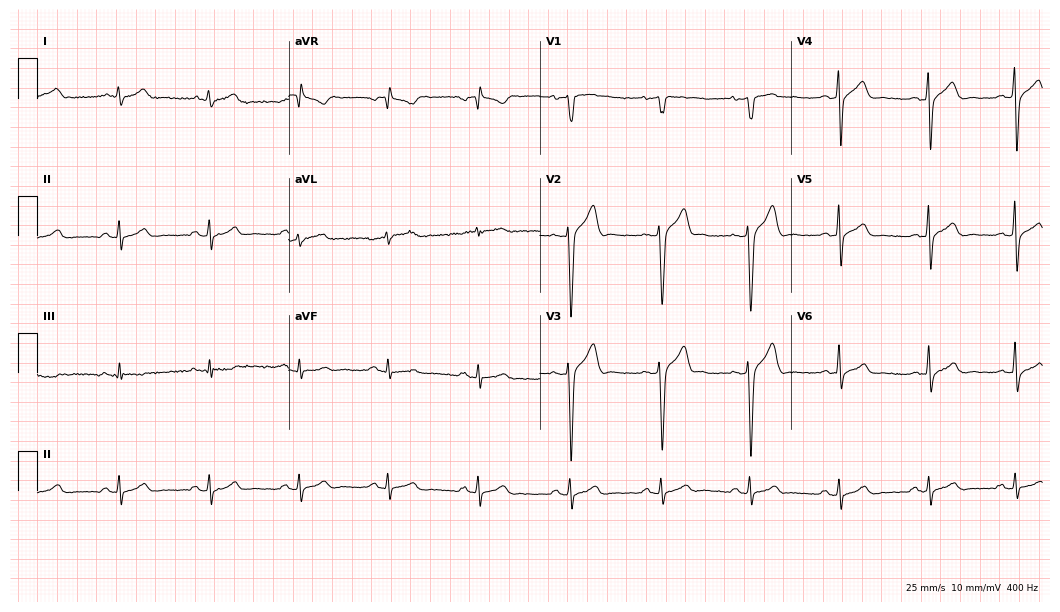
12-lead ECG from a man, 40 years old. Recorded interpretation: within normal limits.